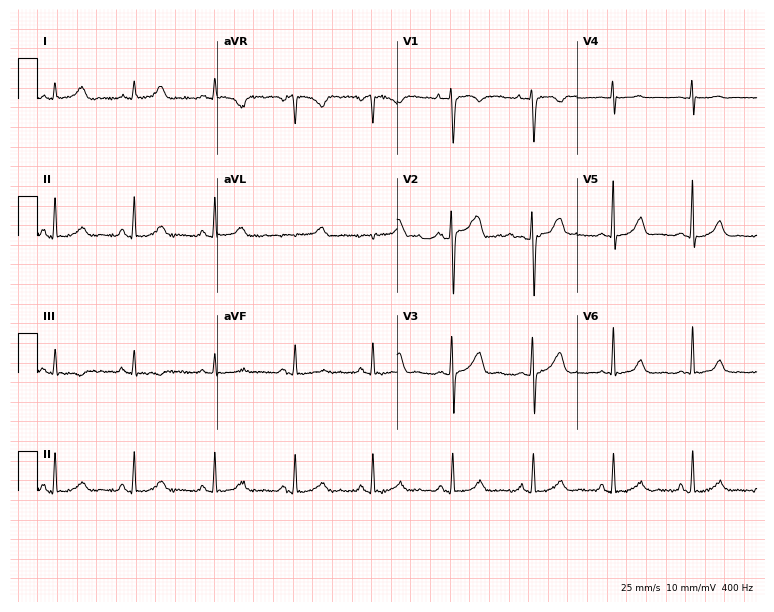
Standard 12-lead ECG recorded from a 32-year-old woman. Read as a normal ECG.